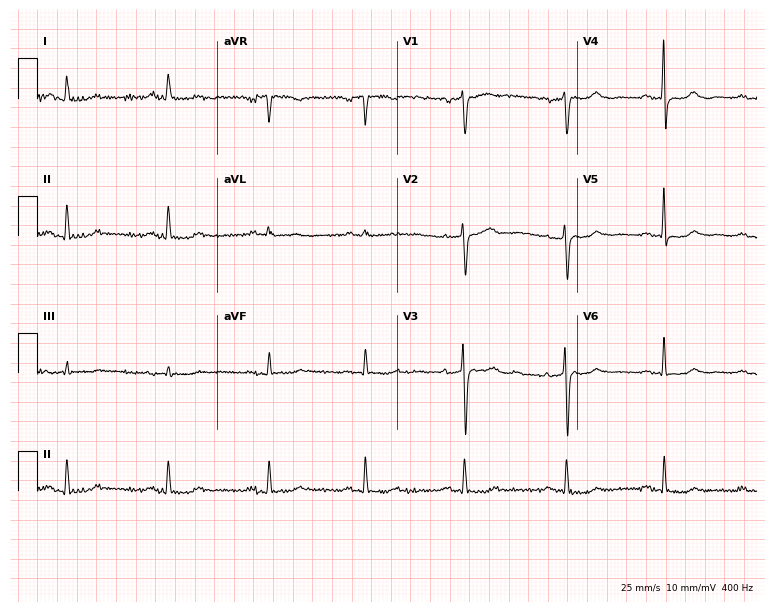
Standard 12-lead ECG recorded from a woman, 66 years old (7.3-second recording at 400 Hz). None of these six findings is recorded: first-degree AV block, right bundle branch block, left bundle branch block, sinus bradycardia, atrial fibrillation, sinus tachycardia. Only these six findings were labelled.